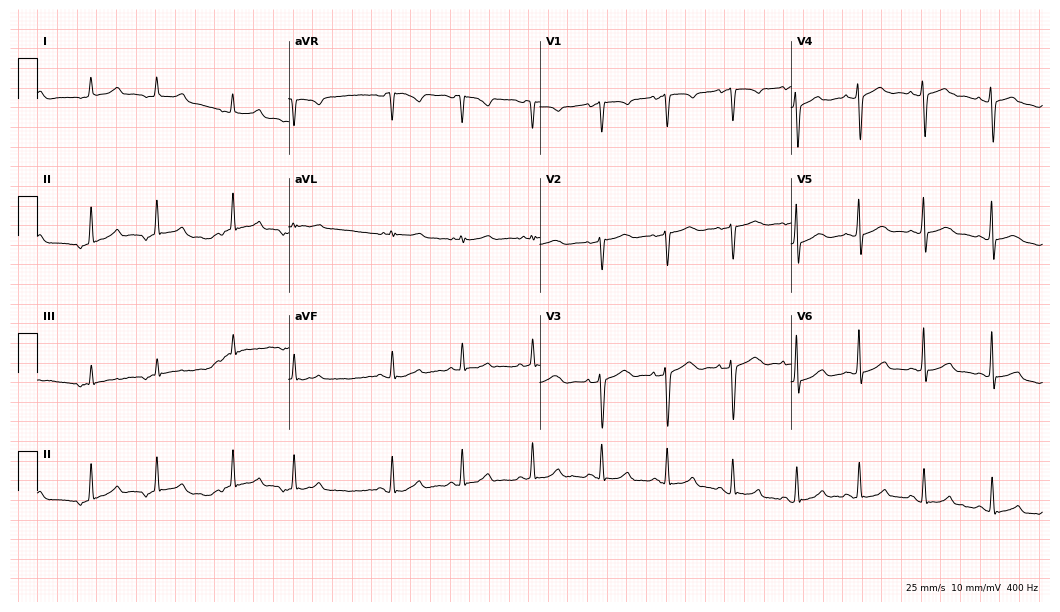
ECG (10.2-second recording at 400 Hz) — a 21-year-old female patient. Screened for six findings — first-degree AV block, right bundle branch block (RBBB), left bundle branch block (LBBB), sinus bradycardia, atrial fibrillation (AF), sinus tachycardia — none is recorded.